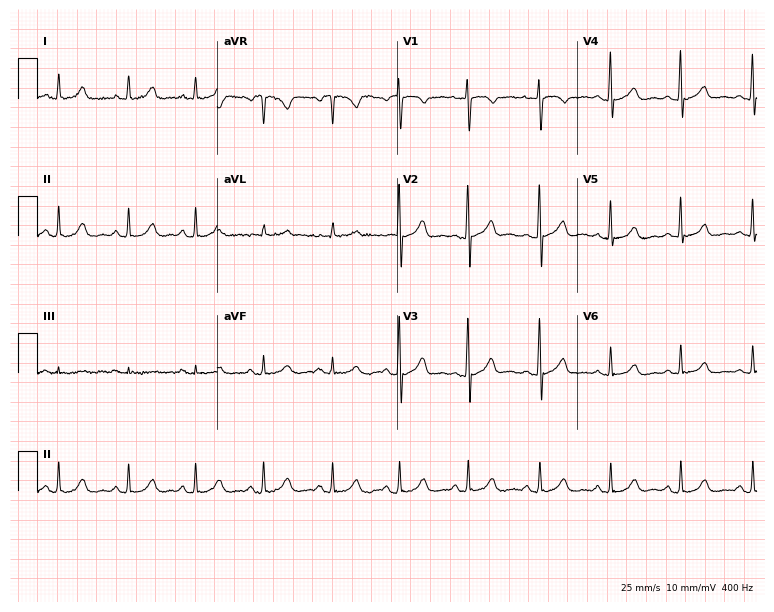
12-lead ECG from a female patient, 26 years old. Screened for six findings — first-degree AV block, right bundle branch block (RBBB), left bundle branch block (LBBB), sinus bradycardia, atrial fibrillation (AF), sinus tachycardia — none is recorded. Findings outside these six are not listed.